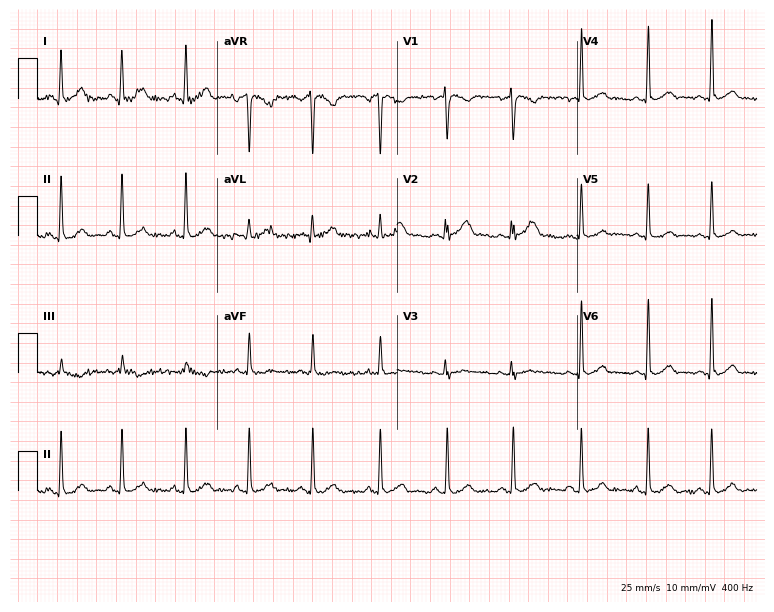
Electrocardiogram, a 29-year-old woman. Overall reading on record: normal ECG.